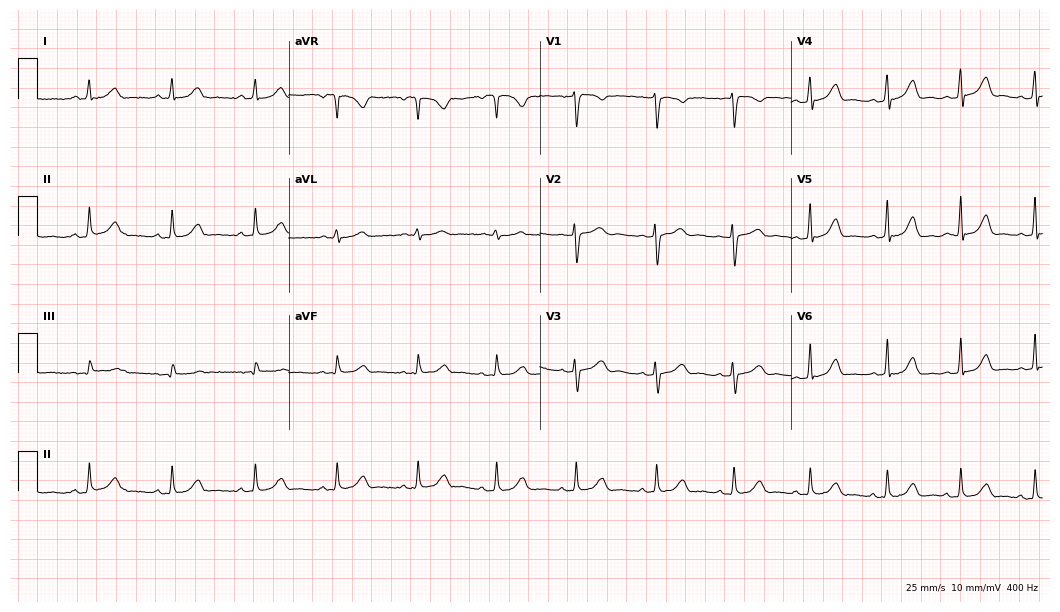
Electrocardiogram, a female patient, 40 years old. Overall reading on record: normal ECG.